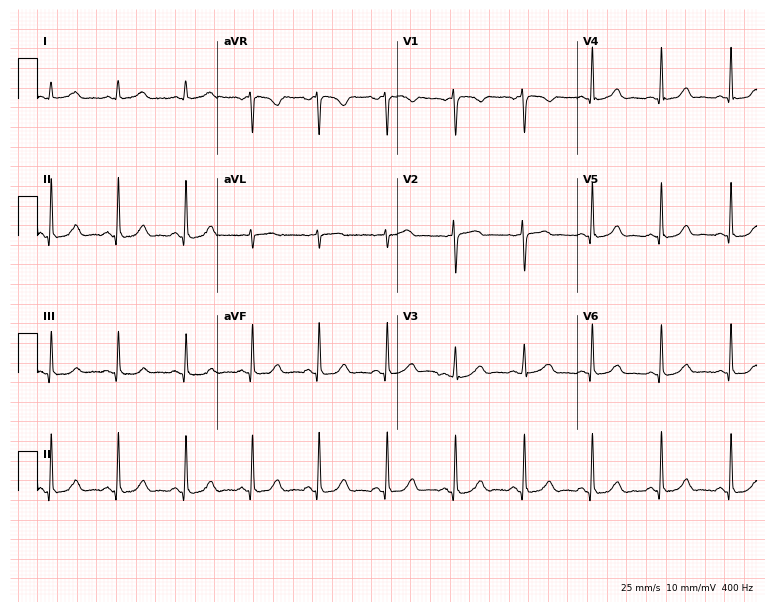
12-lead ECG from a female patient, 45 years old (7.3-second recording at 400 Hz). No first-degree AV block, right bundle branch block (RBBB), left bundle branch block (LBBB), sinus bradycardia, atrial fibrillation (AF) or sinus tachycardia recorded for this tracing. Only these six findings were labelled.